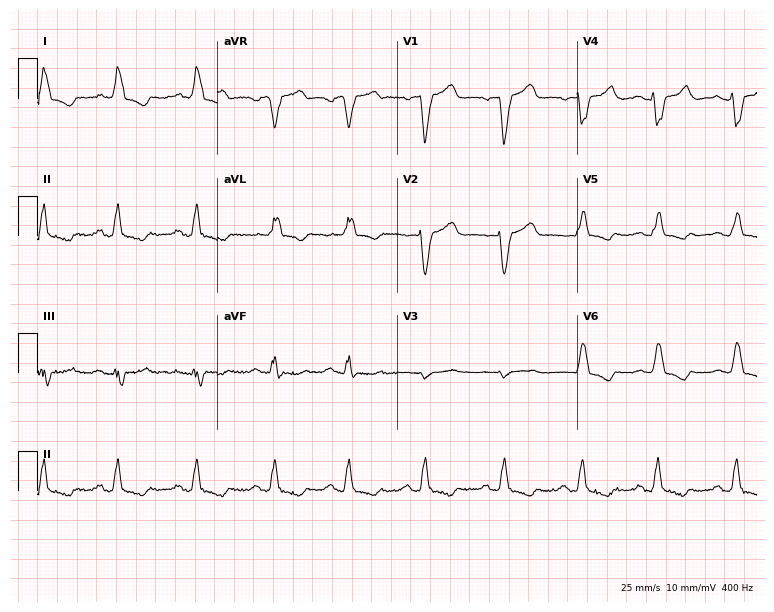
ECG (7.3-second recording at 400 Hz) — a 64-year-old woman. Findings include left bundle branch block.